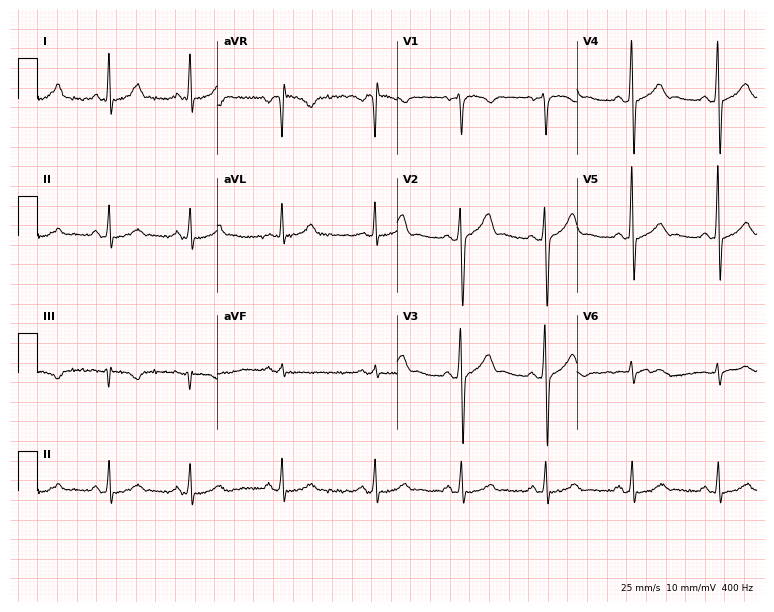
12-lead ECG from a male patient, 31 years old. Screened for six findings — first-degree AV block, right bundle branch block, left bundle branch block, sinus bradycardia, atrial fibrillation, sinus tachycardia — none is recorded. Only these six findings were labelled.